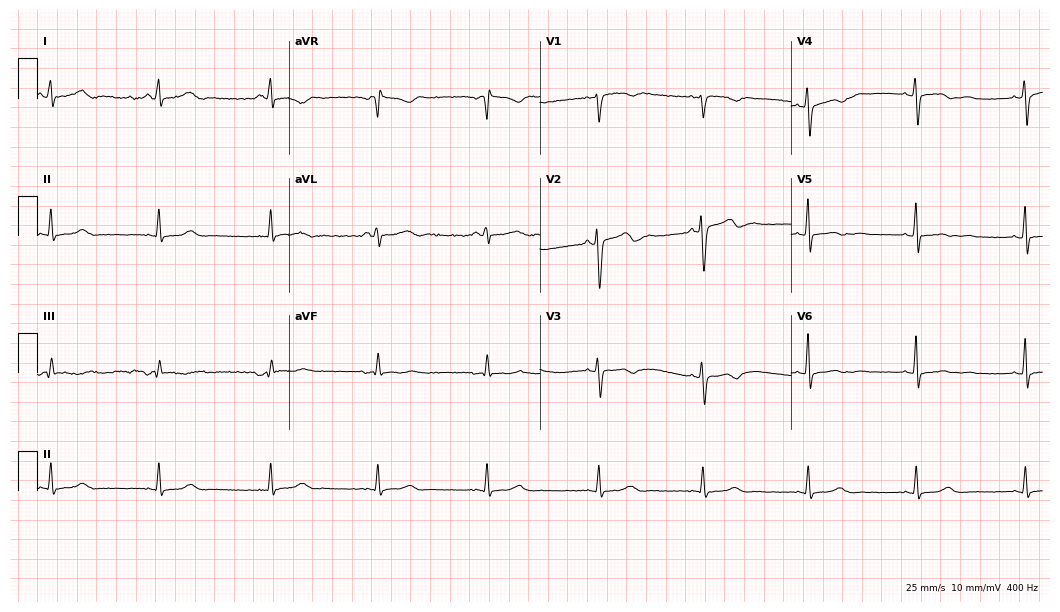
Standard 12-lead ECG recorded from a female, 42 years old (10.2-second recording at 400 Hz). None of these six findings is recorded: first-degree AV block, right bundle branch block, left bundle branch block, sinus bradycardia, atrial fibrillation, sinus tachycardia. Findings outside these six are not listed.